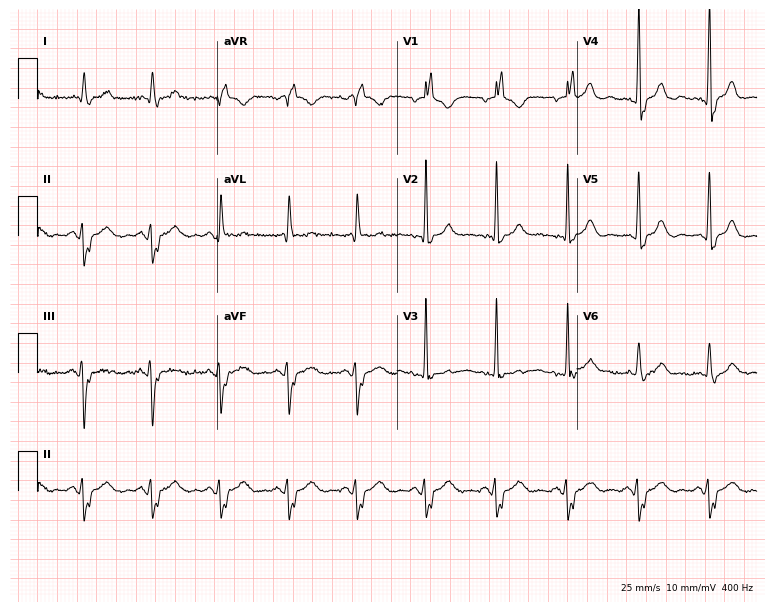
12-lead ECG (7.3-second recording at 400 Hz) from an 80-year-old female patient. Screened for six findings — first-degree AV block, right bundle branch block, left bundle branch block, sinus bradycardia, atrial fibrillation, sinus tachycardia — none is recorded. Only these six findings were labelled.